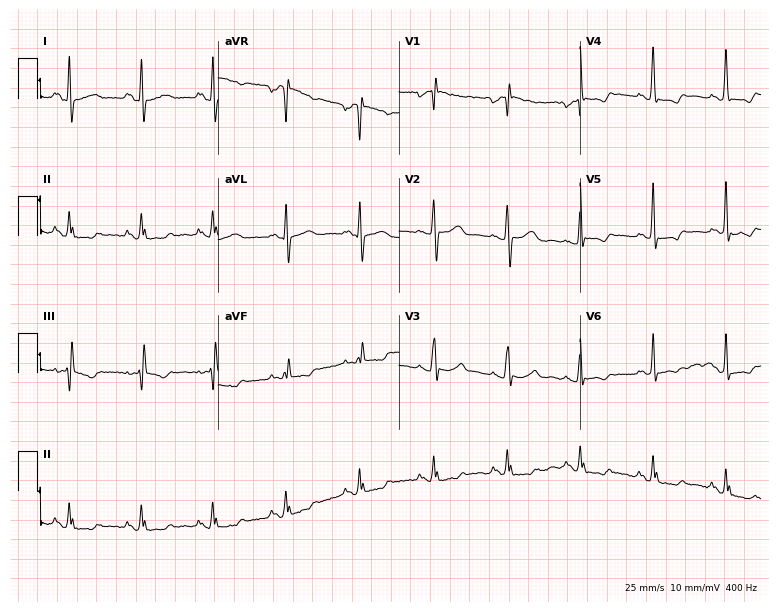
12-lead ECG from a female patient, 29 years old. Screened for six findings — first-degree AV block, right bundle branch block, left bundle branch block, sinus bradycardia, atrial fibrillation, sinus tachycardia — none is recorded. Other findings, if any, are not listed.